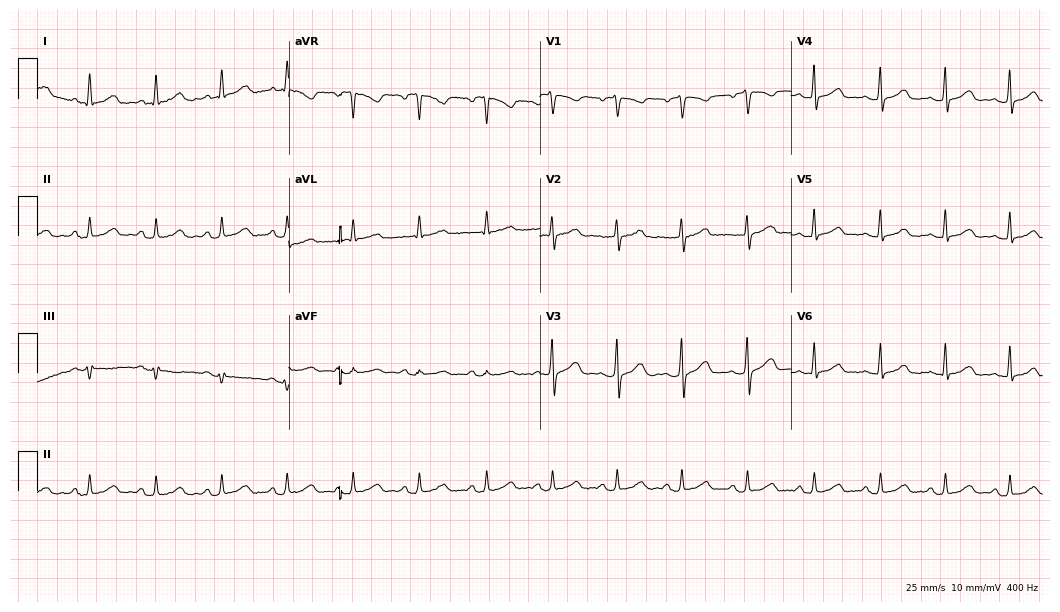
Electrocardiogram, a 56-year-old woman. Overall reading on record: normal ECG.